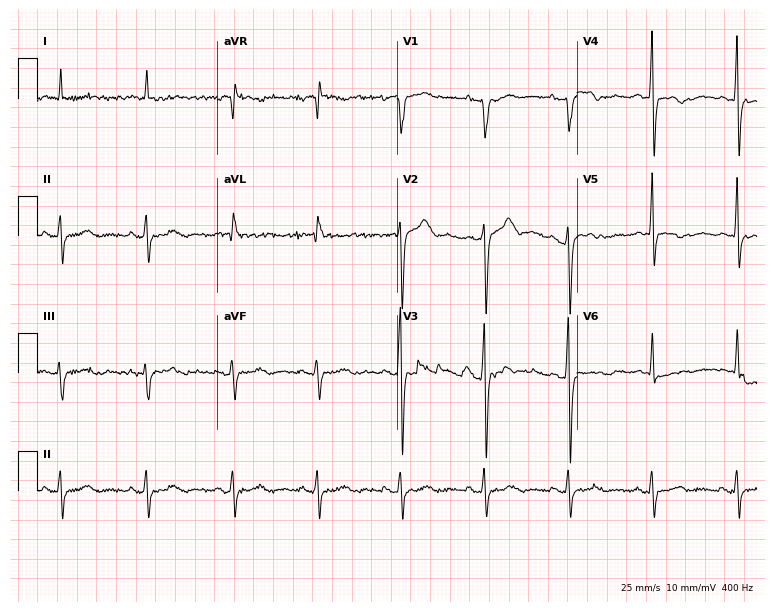
12-lead ECG from a 51-year-old male patient. Screened for six findings — first-degree AV block, right bundle branch block (RBBB), left bundle branch block (LBBB), sinus bradycardia, atrial fibrillation (AF), sinus tachycardia — none is recorded.